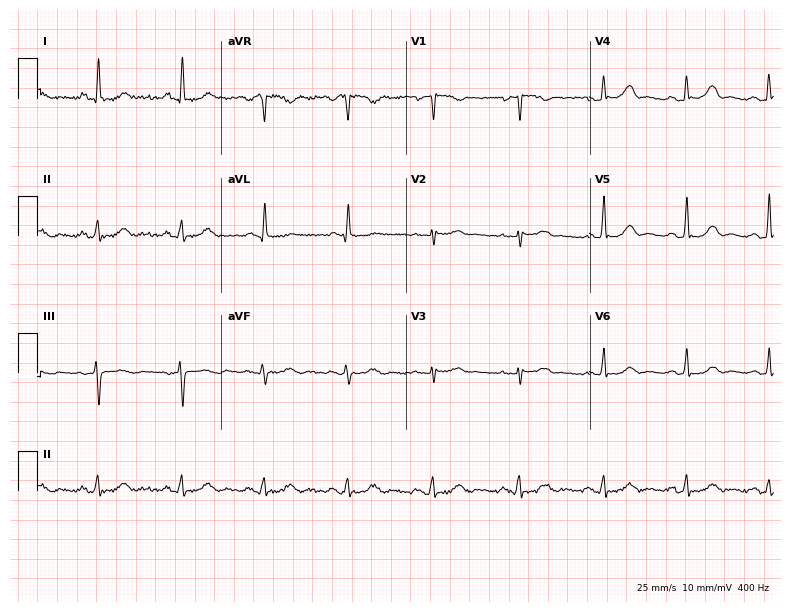
Resting 12-lead electrocardiogram. Patient: a 55-year-old female. Read as a normal ECG.